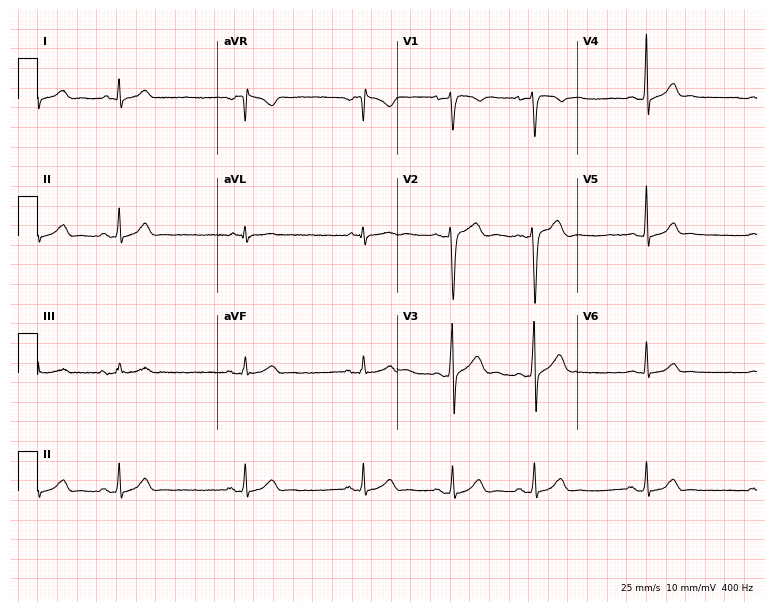
Standard 12-lead ECG recorded from a woman, 33 years old (7.3-second recording at 400 Hz). Read as a normal ECG.